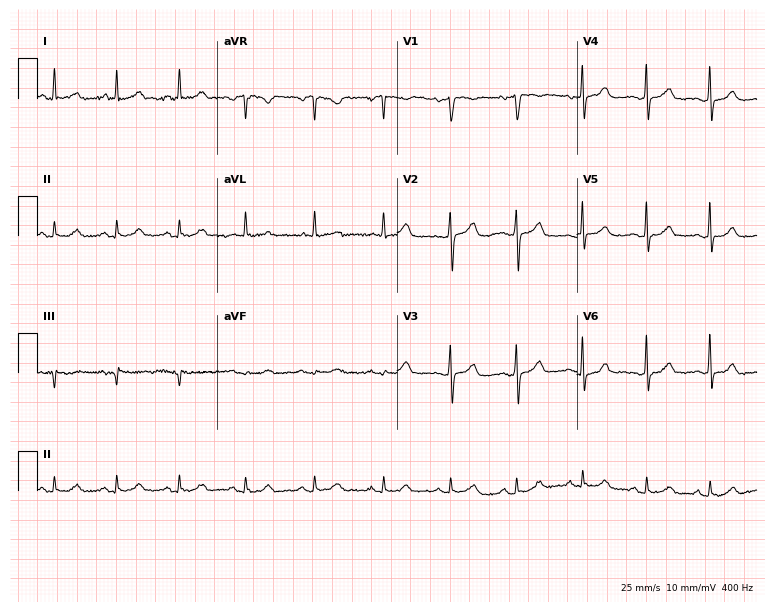
Electrocardiogram (7.3-second recording at 400 Hz), a woman, 41 years old. Overall reading on record: normal ECG.